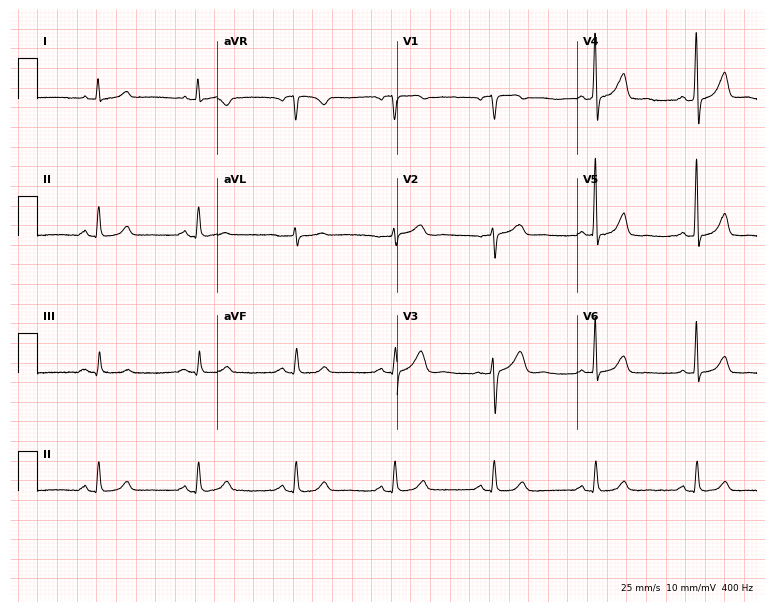
12-lead ECG from a male, 76 years old. Labelled as a normal ECG.